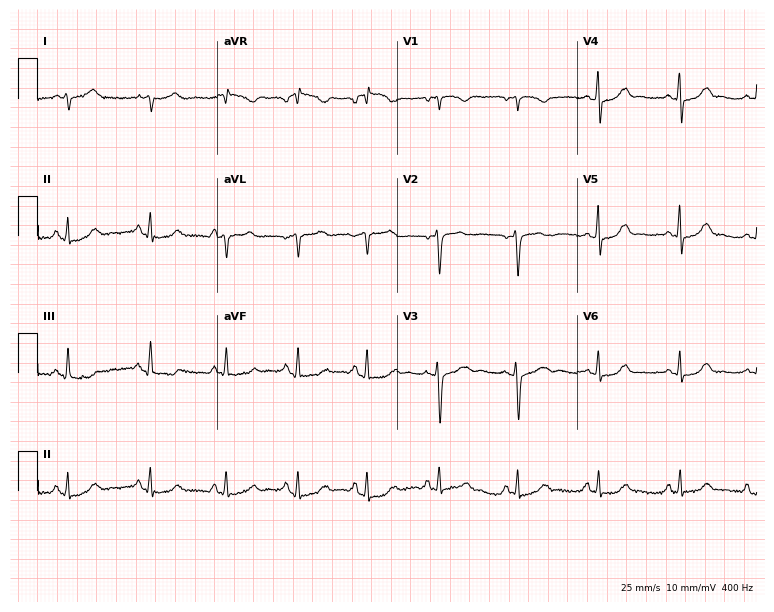
Standard 12-lead ECG recorded from a 39-year-old female patient (7.3-second recording at 400 Hz). None of these six findings is recorded: first-degree AV block, right bundle branch block (RBBB), left bundle branch block (LBBB), sinus bradycardia, atrial fibrillation (AF), sinus tachycardia. Only these six findings were labelled.